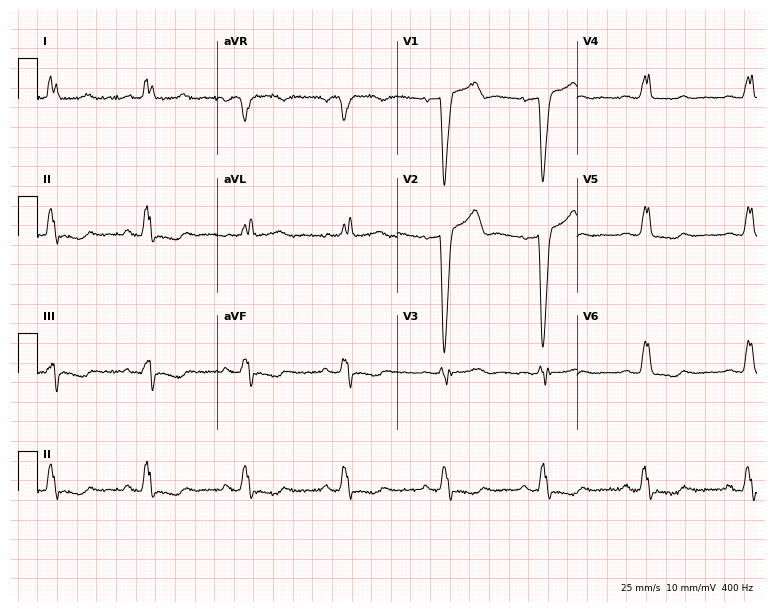
12-lead ECG (7.3-second recording at 400 Hz) from a male, 71 years old. Findings include left bundle branch block (LBBB).